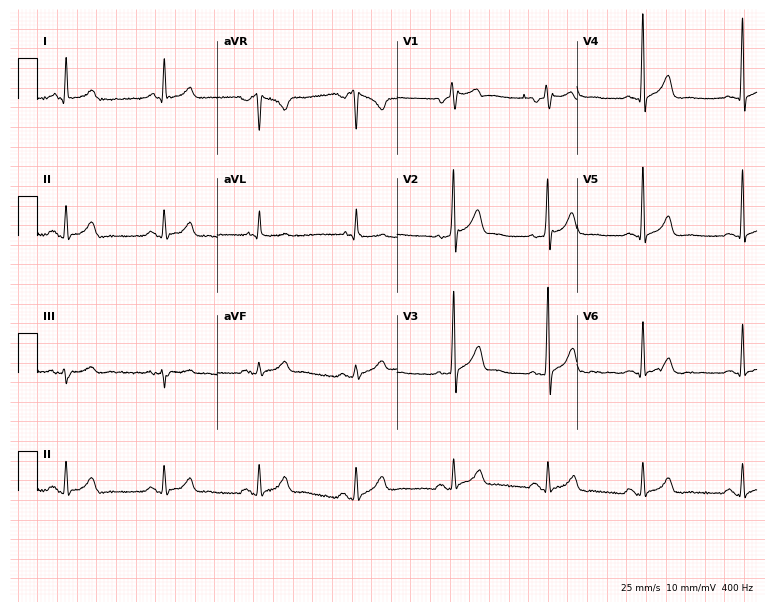
12-lead ECG (7.3-second recording at 400 Hz) from a 49-year-old male. Labelled as a normal ECG.